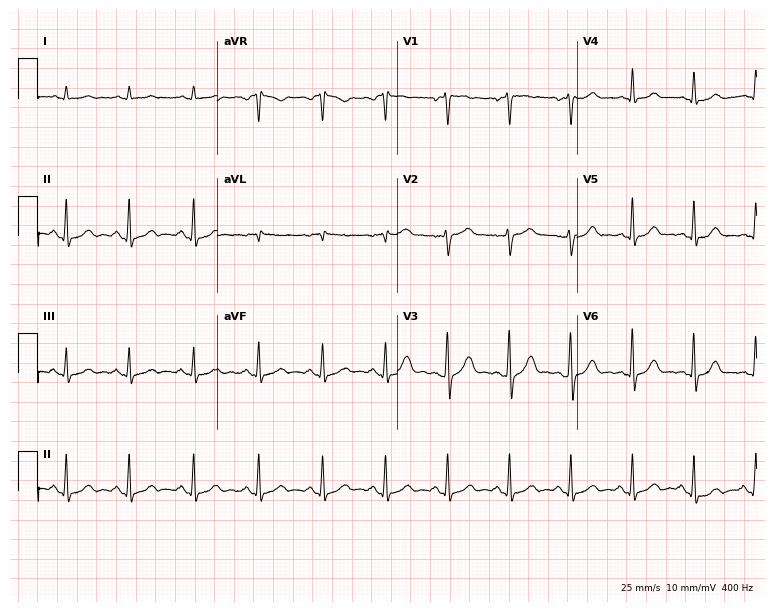
Electrocardiogram, a 52-year-old male. Of the six screened findings (first-degree AV block, right bundle branch block (RBBB), left bundle branch block (LBBB), sinus bradycardia, atrial fibrillation (AF), sinus tachycardia), none is recorded. Only these six findings were labelled.